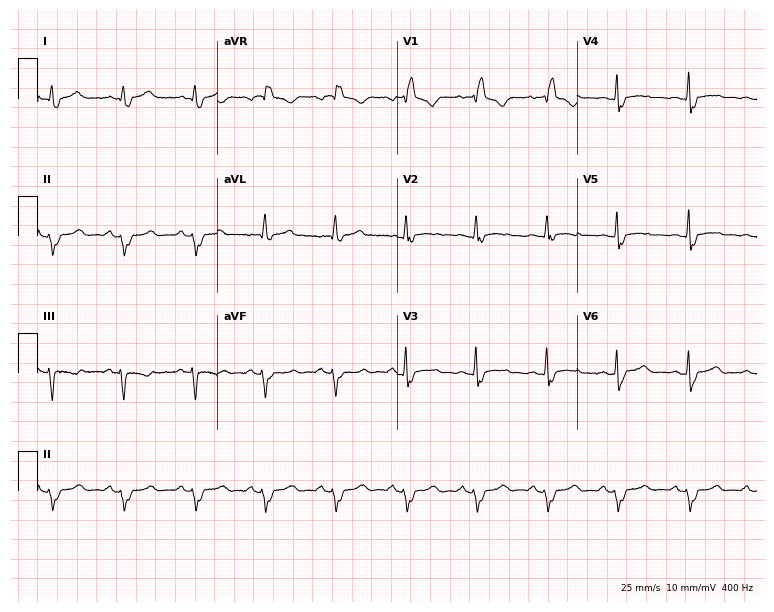
Electrocardiogram, a 45-year-old woman. Interpretation includes right bundle branch block.